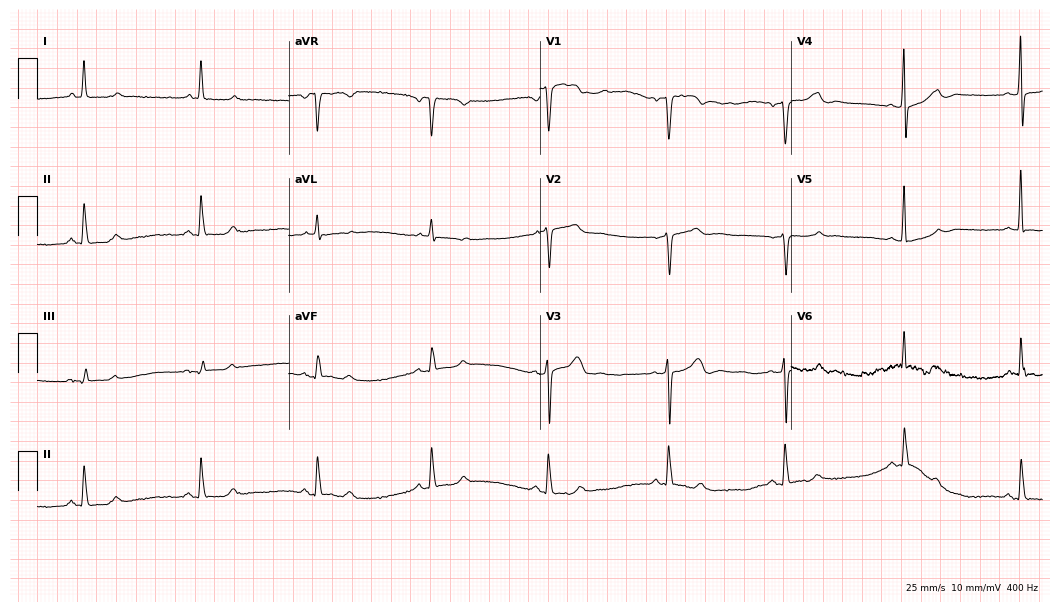
ECG (10.2-second recording at 400 Hz) — a 55-year-old female. Labelled as a normal ECG.